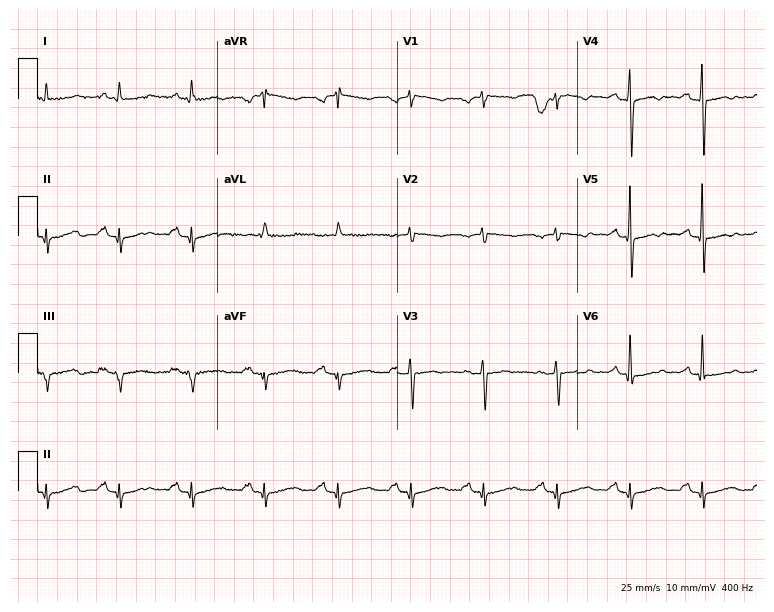
12-lead ECG from a woman, 62 years old (7.3-second recording at 400 Hz). No first-degree AV block, right bundle branch block, left bundle branch block, sinus bradycardia, atrial fibrillation or sinus tachycardia recorded for this tracing.